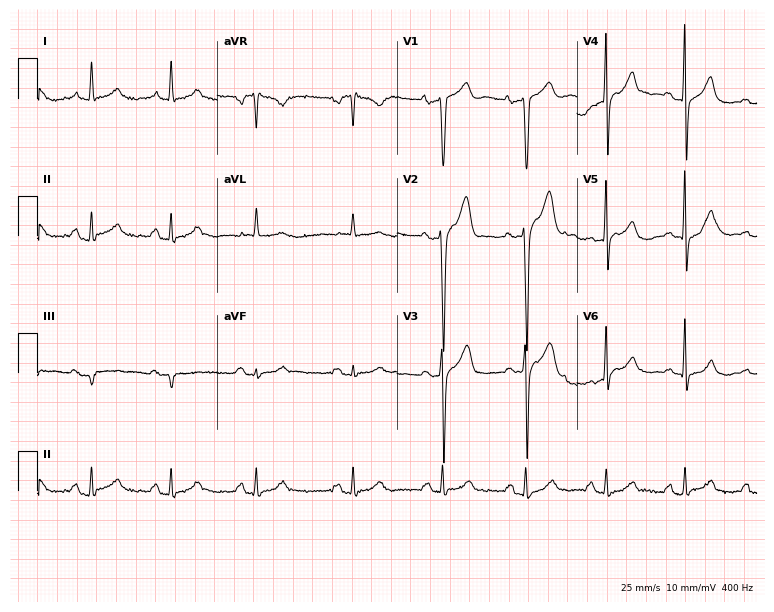
Standard 12-lead ECG recorded from a man, 76 years old (7.3-second recording at 400 Hz). Read as a normal ECG.